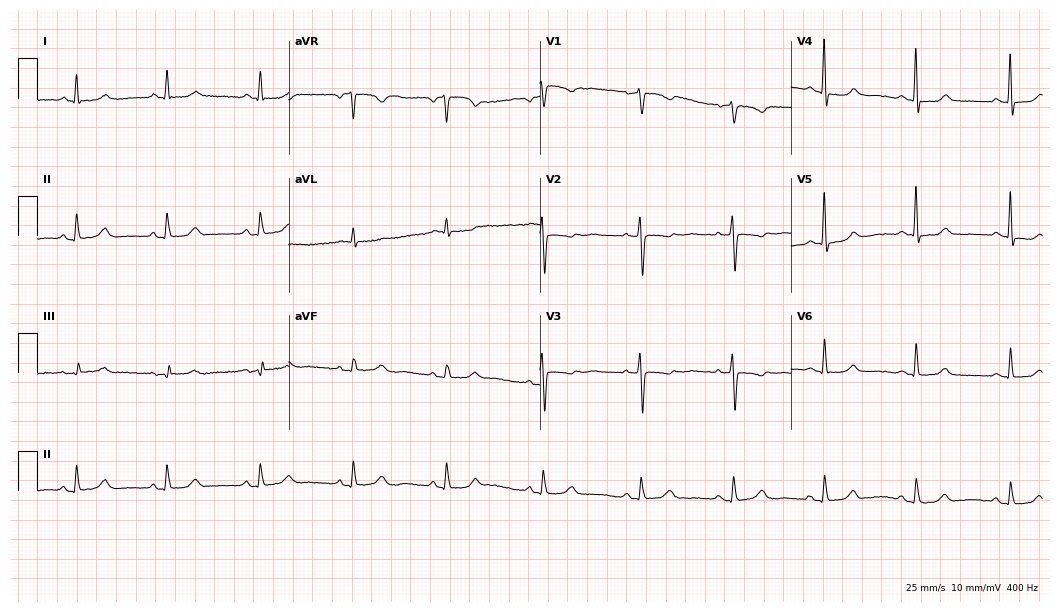
Standard 12-lead ECG recorded from a female patient, 77 years old (10.2-second recording at 400 Hz). None of these six findings is recorded: first-degree AV block, right bundle branch block (RBBB), left bundle branch block (LBBB), sinus bradycardia, atrial fibrillation (AF), sinus tachycardia. Other findings, if any, are not listed.